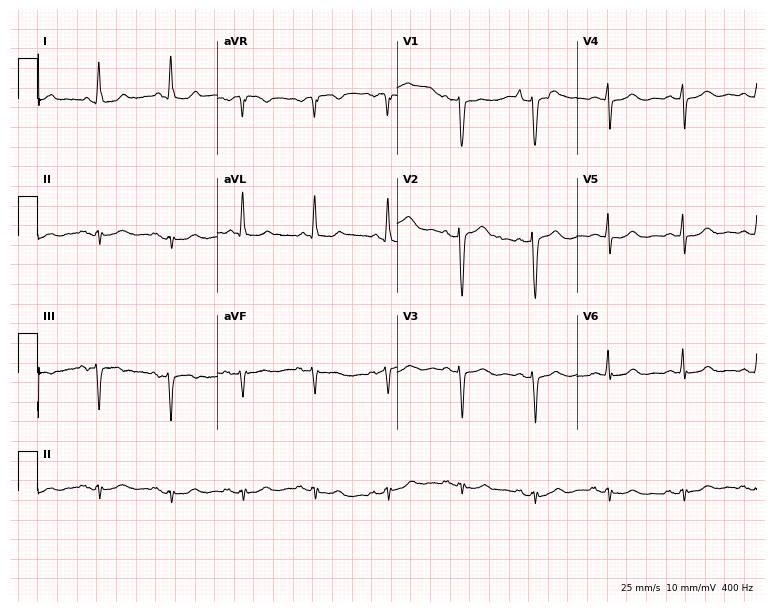
ECG — a female, 63 years old. Screened for six findings — first-degree AV block, right bundle branch block (RBBB), left bundle branch block (LBBB), sinus bradycardia, atrial fibrillation (AF), sinus tachycardia — none is recorded. Findings outside these six are not listed.